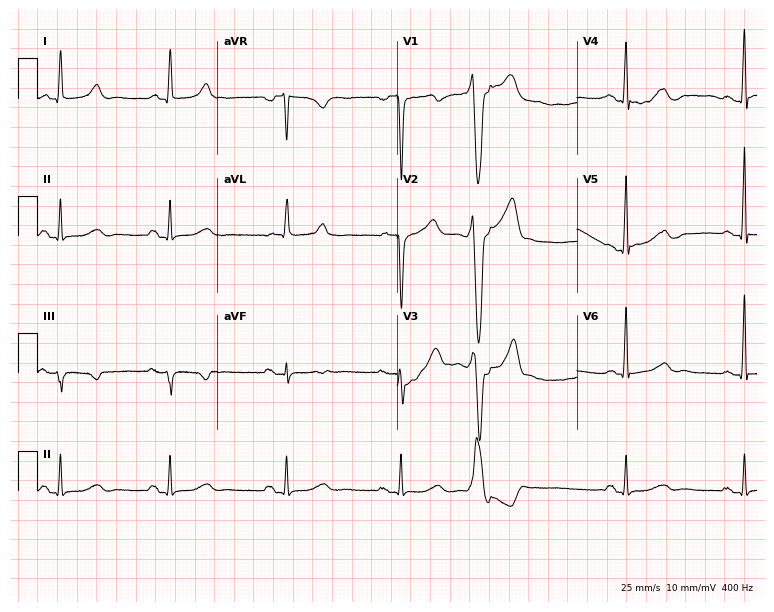
Standard 12-lead ECG recorded from a female, 62 years old (7.3-second recording at 400 Hz). None of these six findings is recorded: first-degree AV block, right bundle branch block, left bundle branch block, sinus bradycardia, atrial fibrillation, sinus tachycardia.